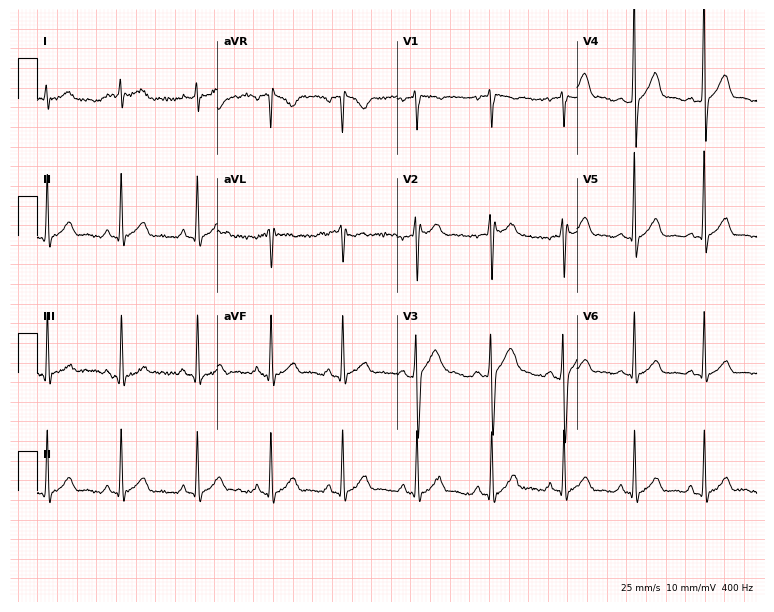
Electrocardiogram, a man, 21 years old. Overall reading on record: normal ECG.